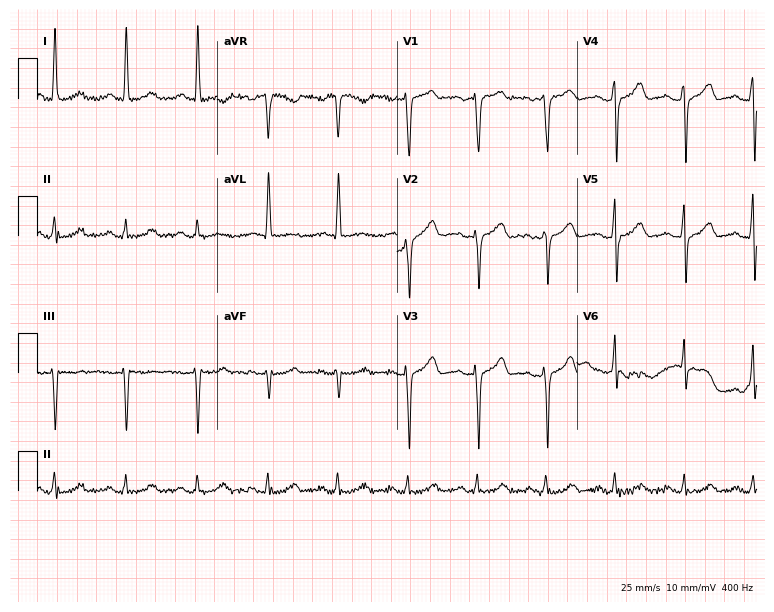
12-lead ECG from a 44-year-old female patient. No first-degree AV block, right bundle branch block (RBBB), left bundle branch block (LBBB), sinus bradycardia, atrial fibrillation (AF) or sinus tachycardia recorded for this tracing. Findings outside these six are not listed.